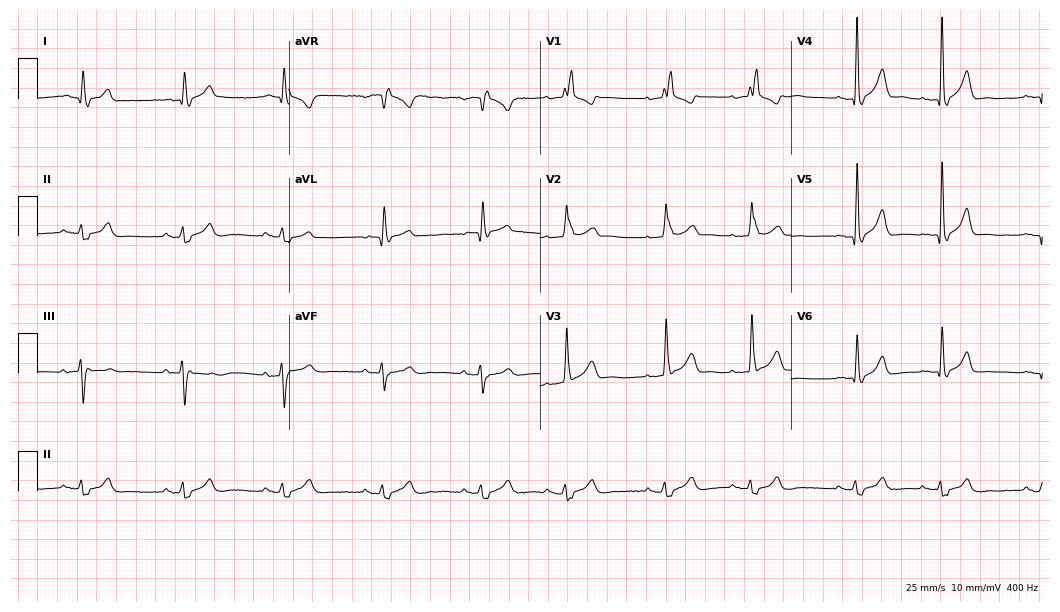
12-lead ECG from a male patient, 81 years old. Shows right bundle branch block.